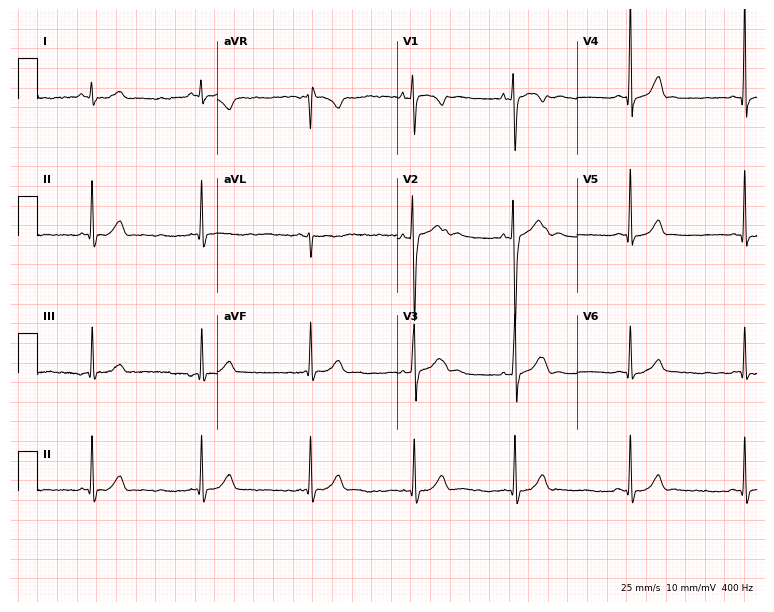
12-lead ECG from a male, 21 years old. Screened for six findings — first-degree AV block, right bundle branch block (RBBB), left bundle branch block (LBBB), sinus bradycardia, atrial fibrillation (AF), sinus tachycardia — none is recorded.